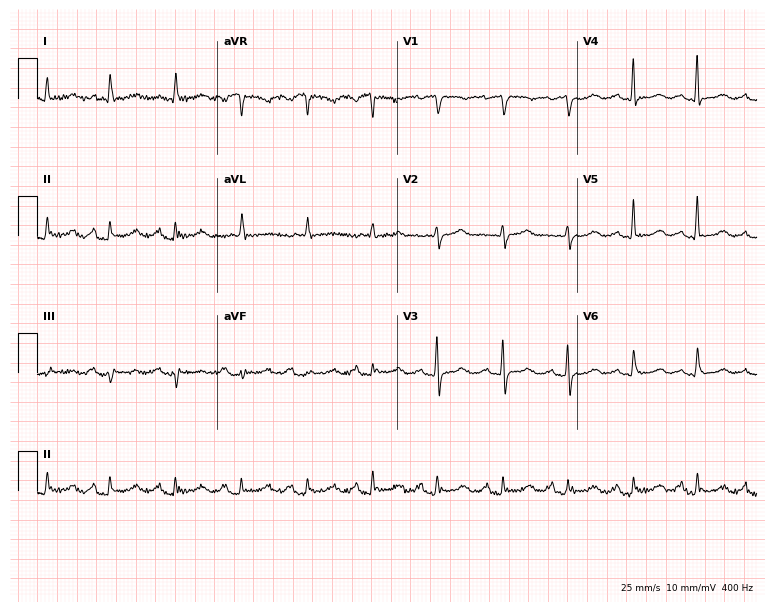
12-lead ECG from a 67-year-old female patient. No first-degree AV block, right bundle branch block, left bundle branch block, sinus bradycardia, atrial fibrillation or sinus tachycardia recorded for this tracing. Only these six findings were labelled.